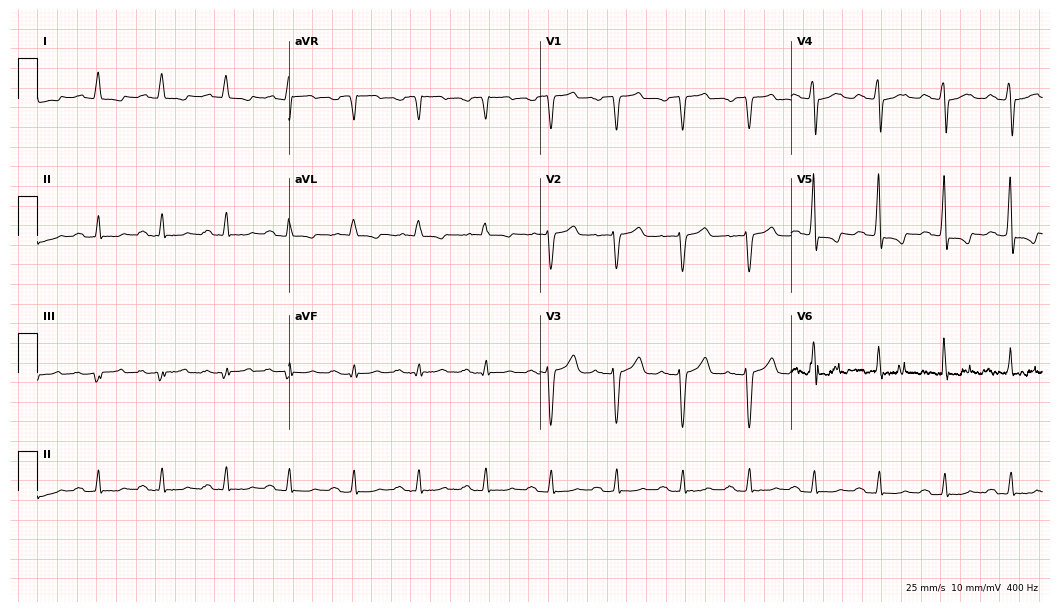
Standard 12-lead ECG recorded from a male, 79 years old (10.2-second recording at 400 Hz). None of these six findings is recorded: first-degree AV block, right bundle branch block, left bundle branch block, sinus bradycardia, atrial fibrillation, sinus tachycardia.